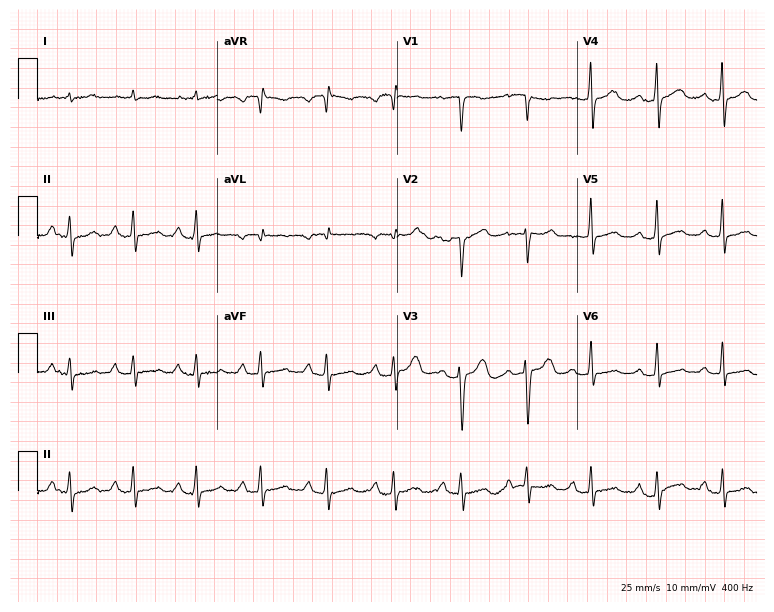
12-lead ECG (7.3-second recording at 400 Hz) from a 45-year-old woman. Screened for six findings — first-degree AV block, right bundle branch block, left bundle branch block, sinus bradycardia, atrial fibrillation, sinus tachycardia — none is recorded.